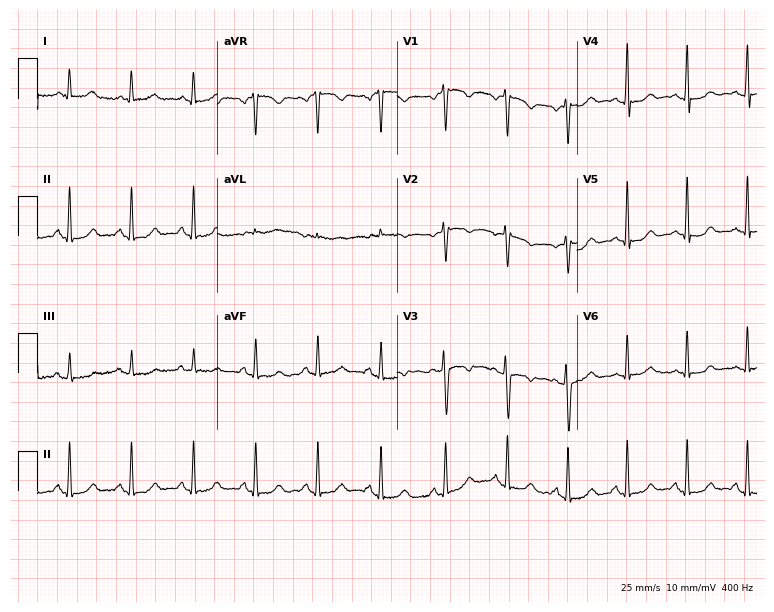
Standard 12-lead ECG recorded from a female, 44 years old. Read as a normal ECG.